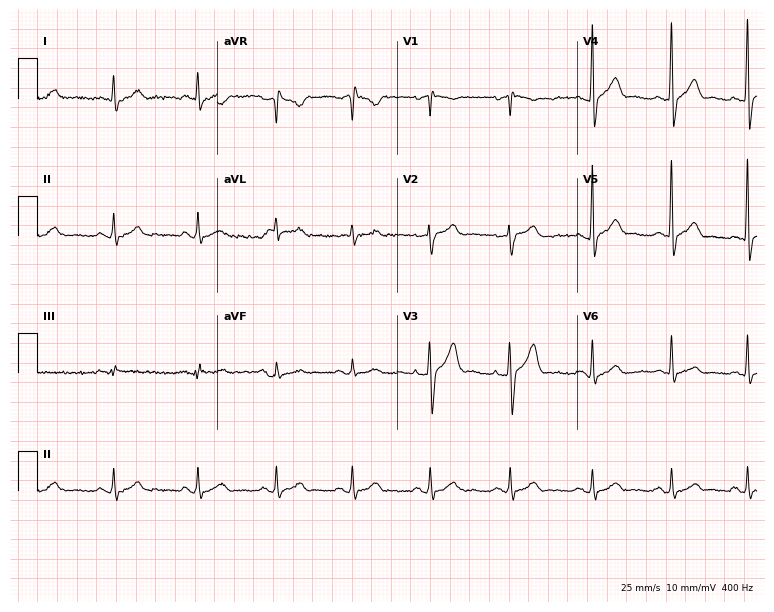
12-lead ECG from a 58-year-old male. No first-degree AV block, right bundle branch block, left bundle branch block, sinus bradycardia, atrial fibrillation or sinus tachycardia recorded for this tracing.